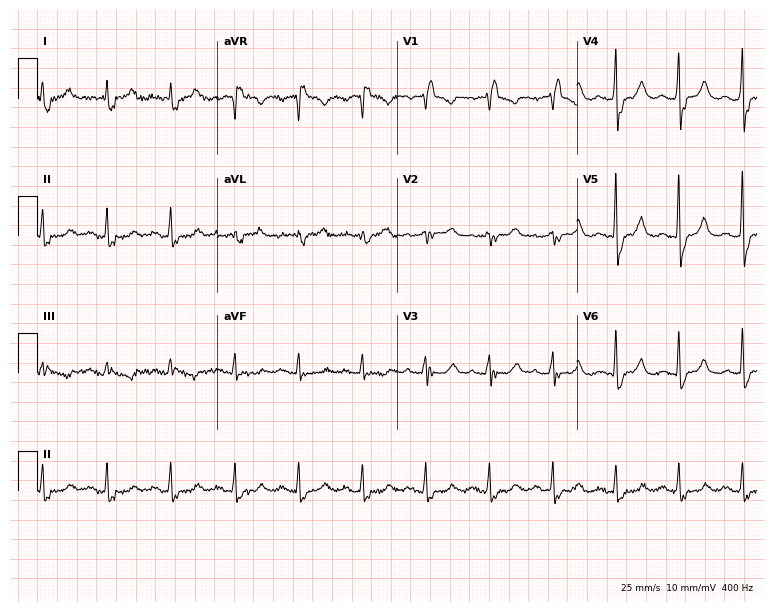
Standard 12-lead ECG recorded from a female patient, 75 years old (7.3-second recording at 400 Hz). The tracing shows right bundle branch block.